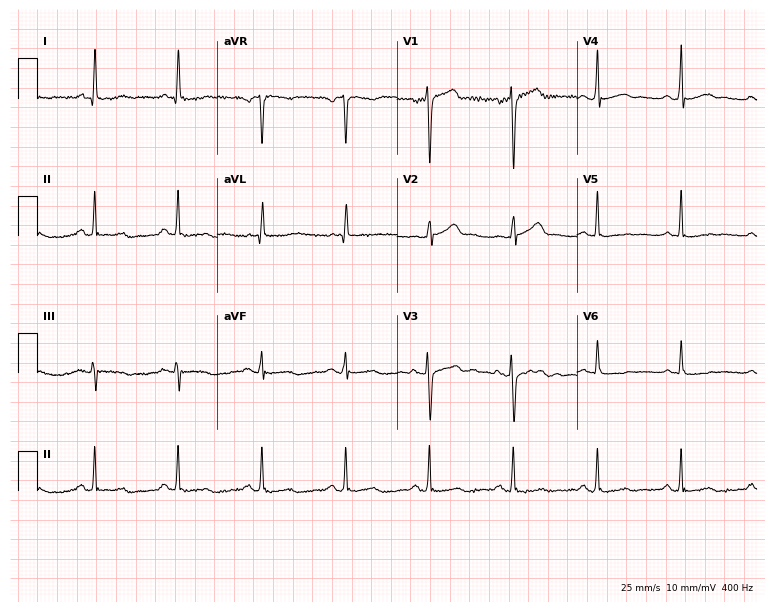
Electrocardiogram, a male, 49 years old. Overall reading on record: normal ECG.